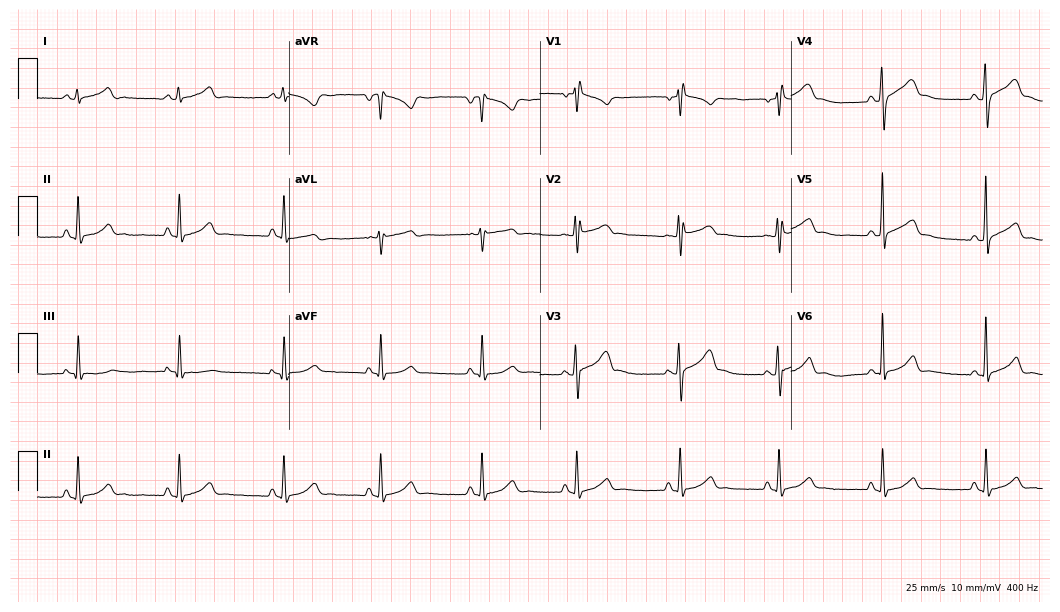
Electrocardiogram, a woman, 18 years old. Of the six screened findings (first-degree AV block, right bundle branch block (RBBB), left bundle branch block (LBBB), sinus bradycardia, atrial fibrillation (AF), sinus tachycardia), none is recorded. Findings outside these six are not listed.